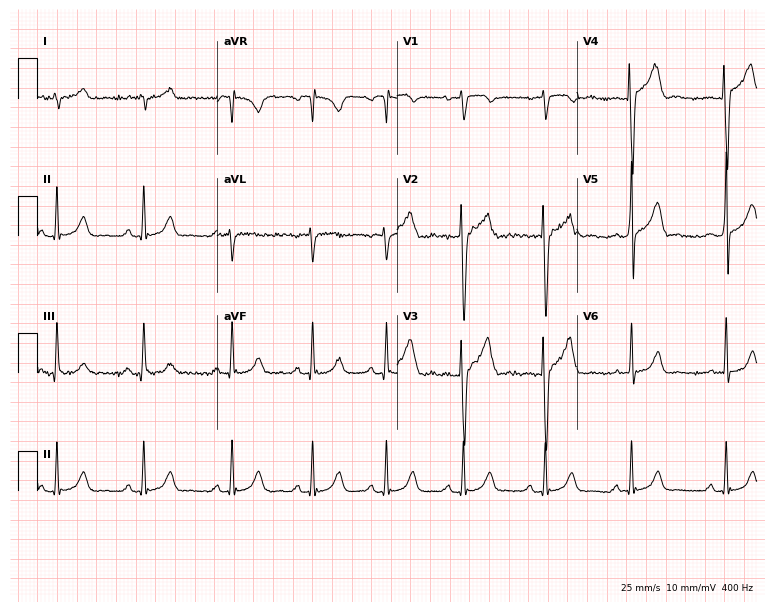
ECG (7.3-second recording at 400 Hz) — a male patient, 26 years old. Labelled as a normal ECG.